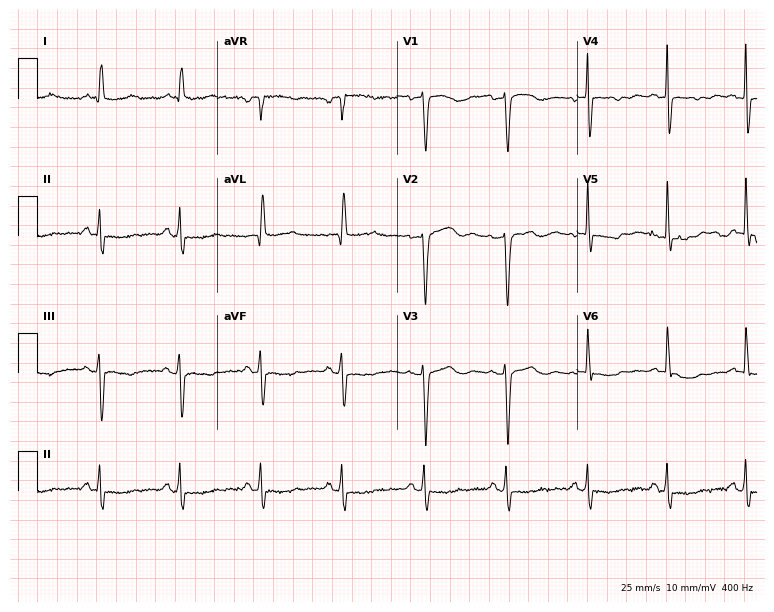
12-lead ECG from a woman, 56 years old. No first-degree AV block, right bundle branch block, left bundle branch block, sinus bradycardia, atrial fibrillation or sinus tachycardia recorded for this tracing. Findings outside these six are not listed.